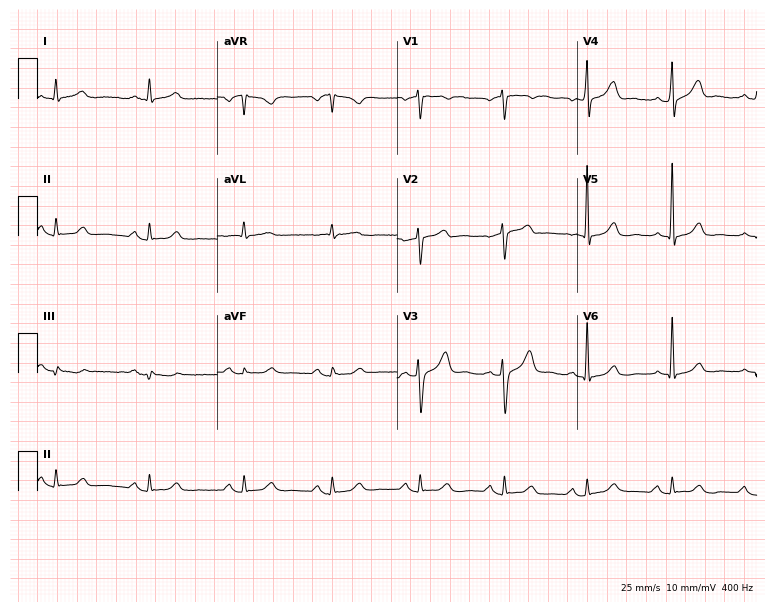
12-lead ECG from a male patient, 52 years old. Screened for six findings — first-degree AV block, right bundle branch block, left bundle branch block, sinus bradycardia, atrial fibrillation, sinus tachycardia — none is recorded. Only these six findings were labelled.